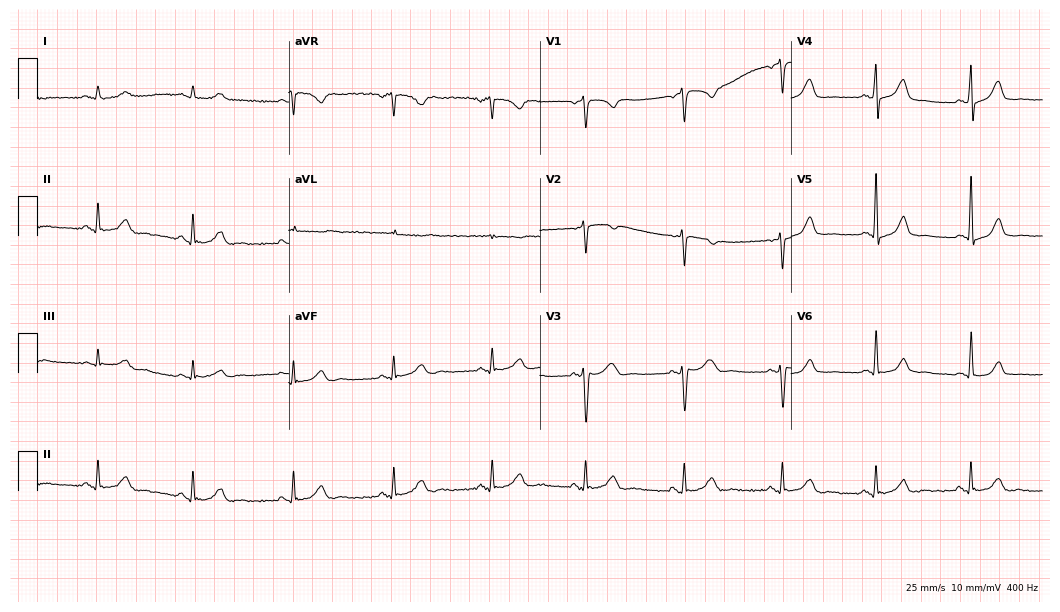
Electrocardiogram, a 43-year-old woman. Overall reading on record: normal ECG.